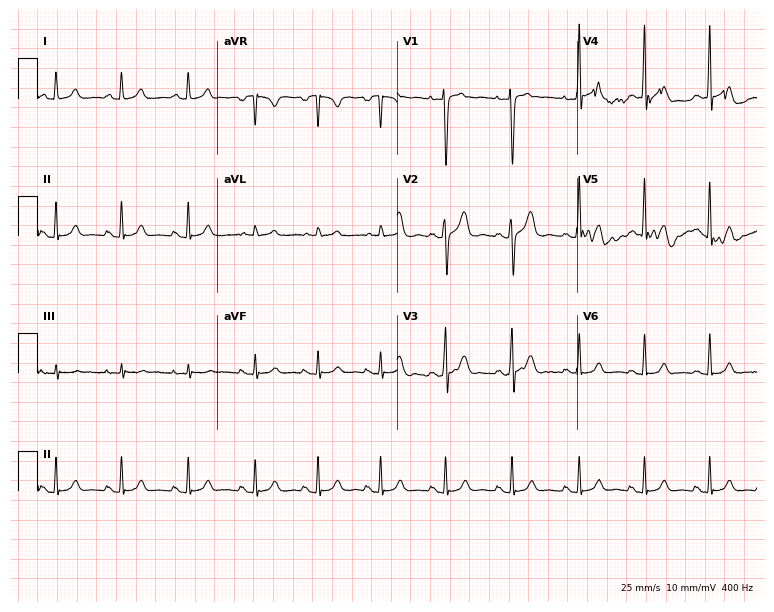
12-lead ECG from a 20-year-old female patient. Recorded interpretation: within normal limits.